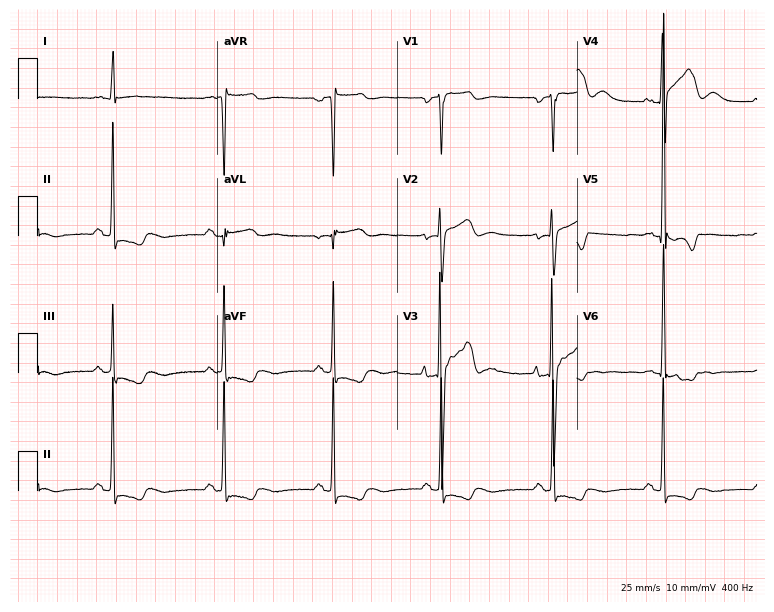
Standard 12-lead ECG recorded from a 73-year-old female patient (7.3-second recording at 400 Hz). None of these six findings is recorded: first-degree AV block, right bundle branch block, left bundle branch block, sinus bradycardia, atrial fibrillation, sinus tachycardia.